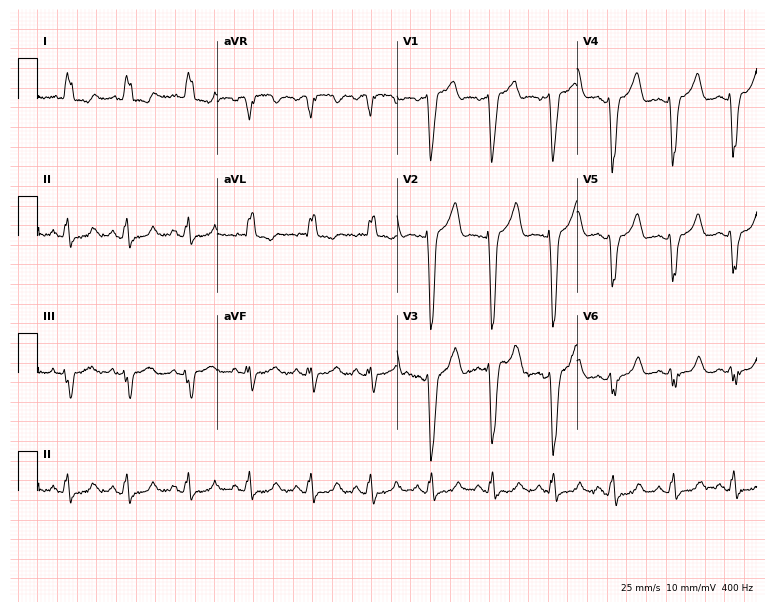
Electrocardiogram, a male patient, 65 years old. Interpretation includes left bundle branch block (LBBB).